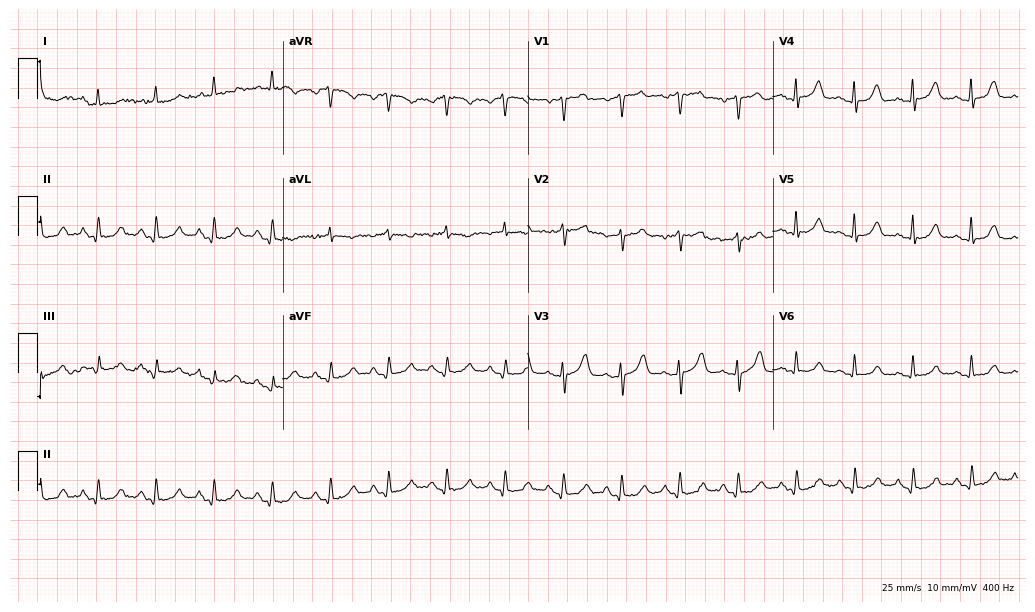
Electrocardiogram, a 65-year-old man. Interpretation includes sinus tachycardia (a sinus rate of 100 beats per minute or more).